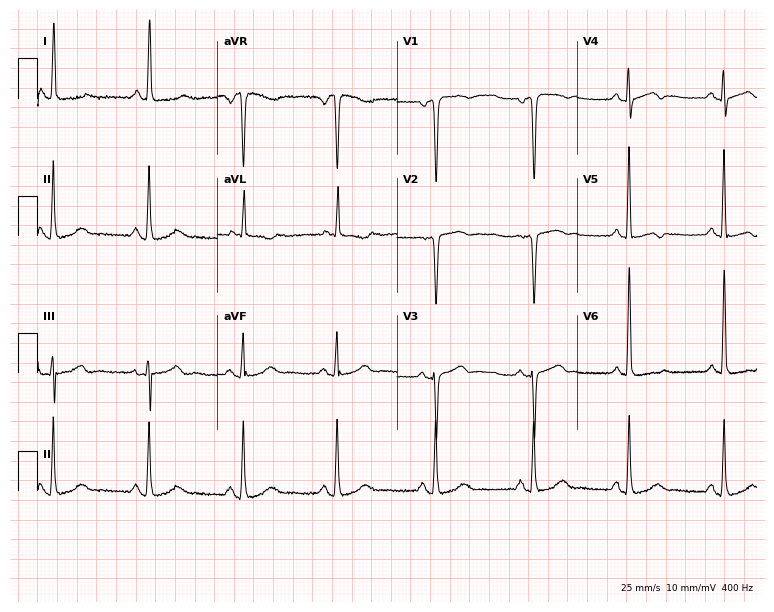
Resting 12-lead electrocardiogram. Patient: a woman, 74 years old. None of these six findings is recorded: first-degree AV block, right bundle branch block (RBBB), left bundle branch block (LBBB), sinus bradycardia, atrial fibrillation (AF), sinus tachycardia. Only these six findings were labelled.